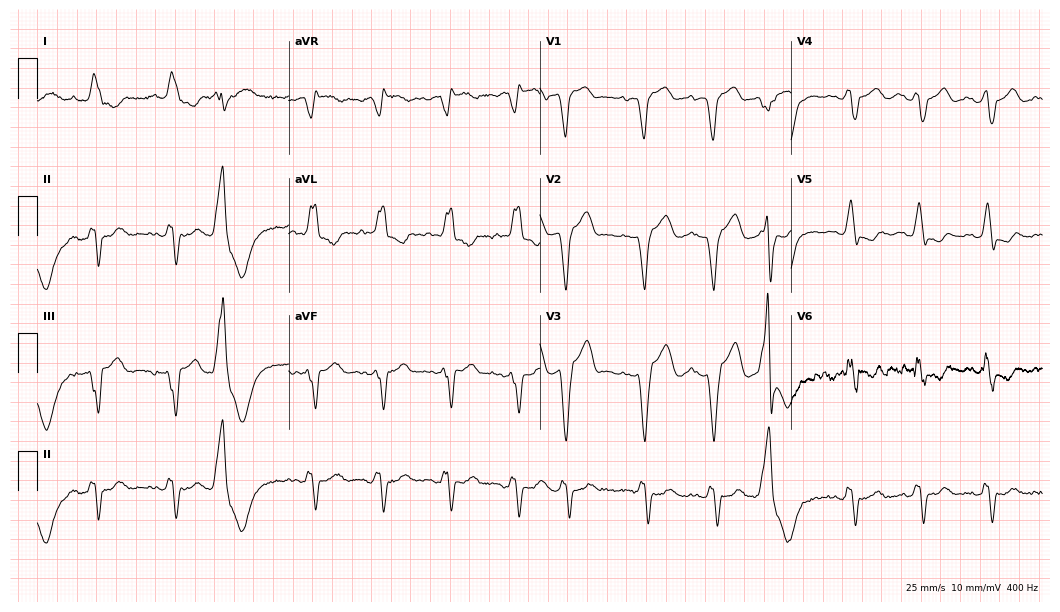
12-lead ECG from an 80-year-old woman (10.2-second recording at 400 Hz). Shows left bundle branch block.